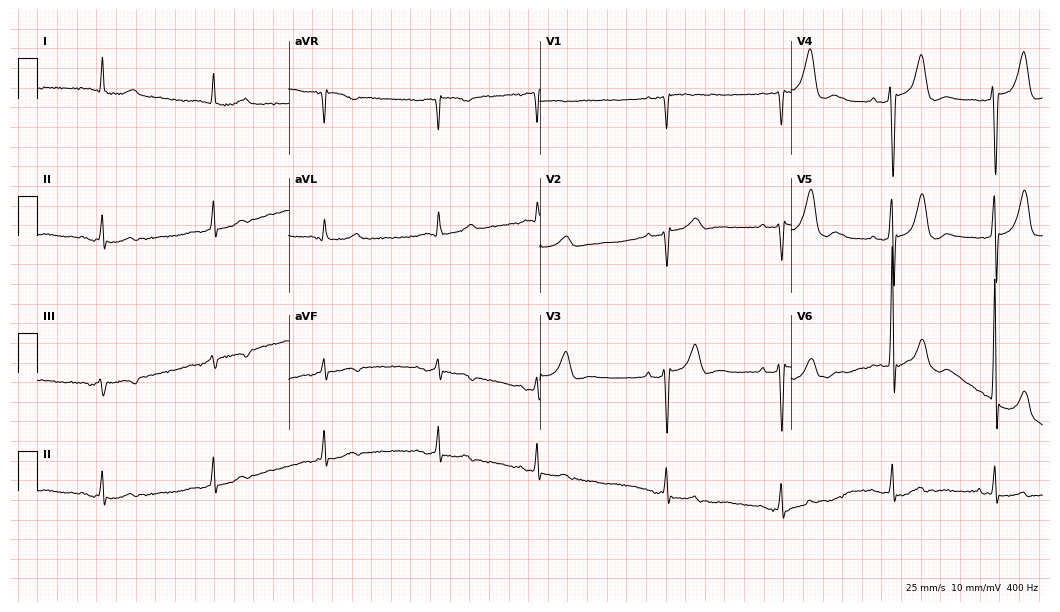
12-lead ECG (10.2-second recording at 400 Hz) from a male patient, 74 years old. Screened for six findings — first-degree AV block, right bundle branch block, left bundle branch block, sinus bradycardia, atrial fibrillation, sinus tachycardia — none is recorded. Findings outside these six are not listed.